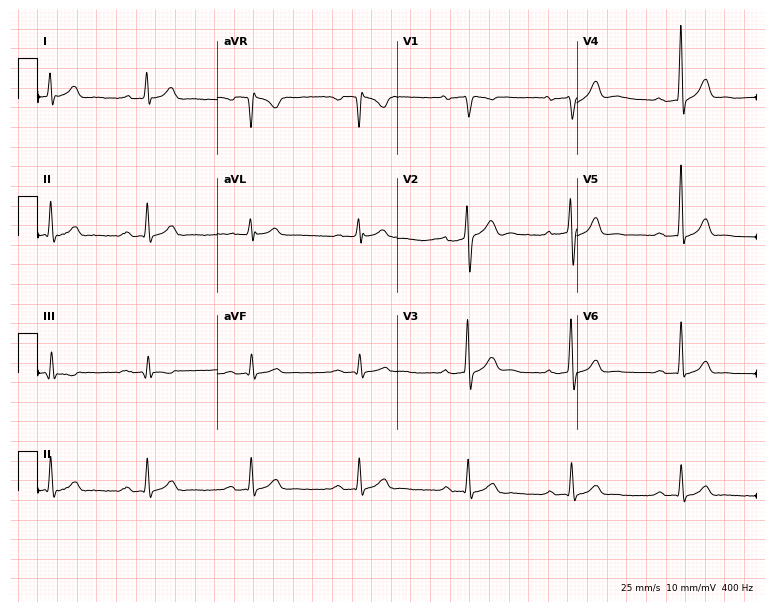
Resting 12-lead electrocardiogram. Patient: a male, 40 years old. None of these six findings is recorded: first-degree AV block, right bundle branch block, left bundle branch block, sinus bradycardia, atrial fibrillation, sinus tachycardia. Only these six findings were labelled.